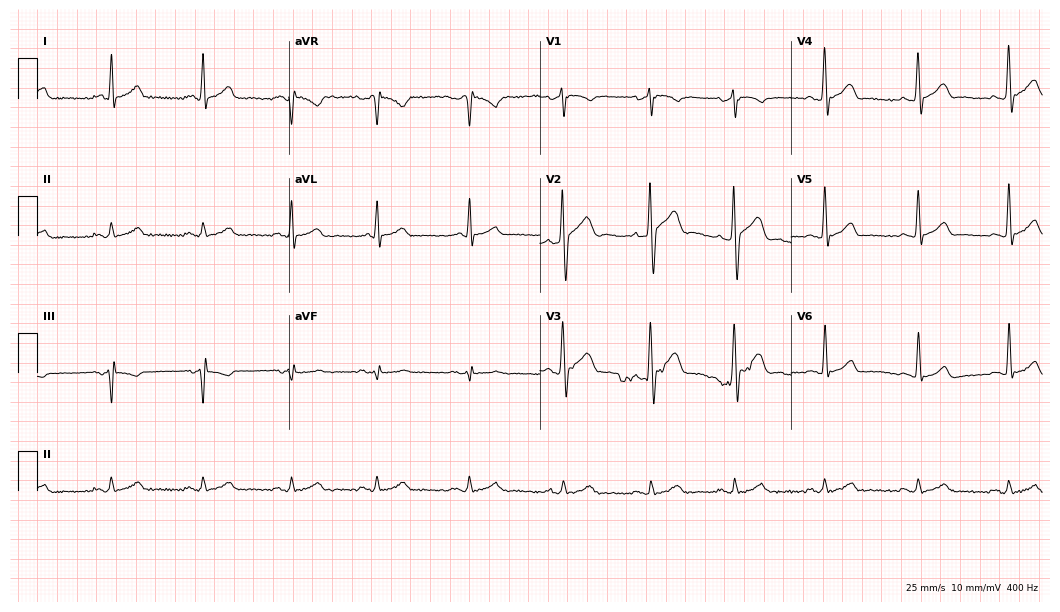
Standard 12-lead ECG recorded from a man, 46 years old. None of these six findings is recorded: first-degree AV block, right bundle branch block, left bundle branch block, sinus bradycardia, atrial fibrillation, sinus tachycardia.